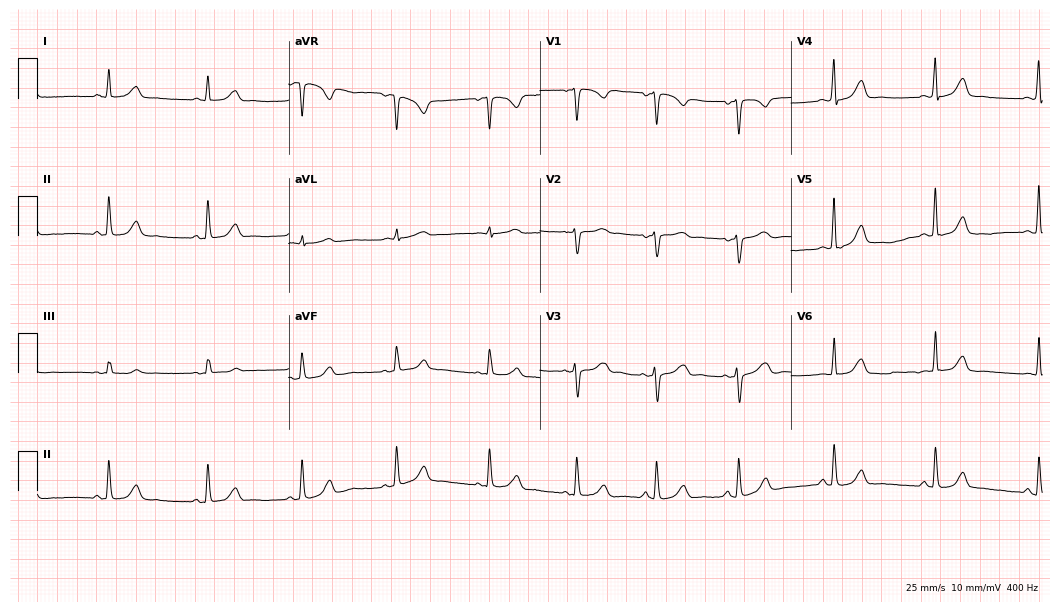
Electrocardiogram (10.2-second recording at 400 Hz), a 41-year-old female patient. Of the six screened findings (first-degree AV block, right bundle branch block, left bundle branch block, sinus bradycardia, atrial fibrillation, sinus tachycardia), none is recorded.